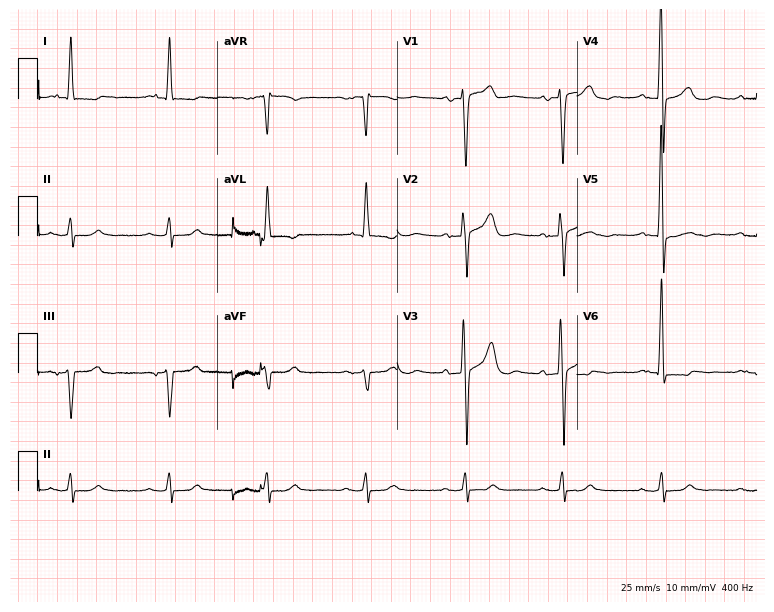
Resting 12-lead electrocardiogram. Patient: a man, 84 years old. None of these six findings is recorded: first-degree AV block, right bundle branch block, left bundle branch block, sinus bradycardia, atrial fibrillation, sinus tachycardia. Other findings, if any, are not listed.